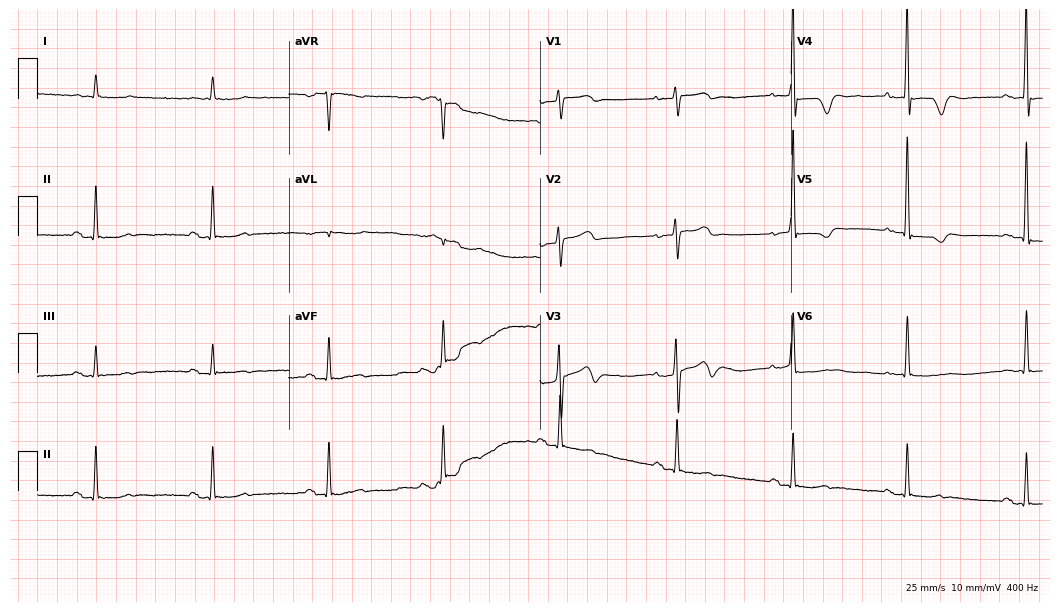
ECG — a 79-year-old male. Screened for six findings — first-degree AV block, right bundle branch block, left bundle branch block, sinus bradycardia, atrial fibrillation, sinus tachycardia — none is recorded.